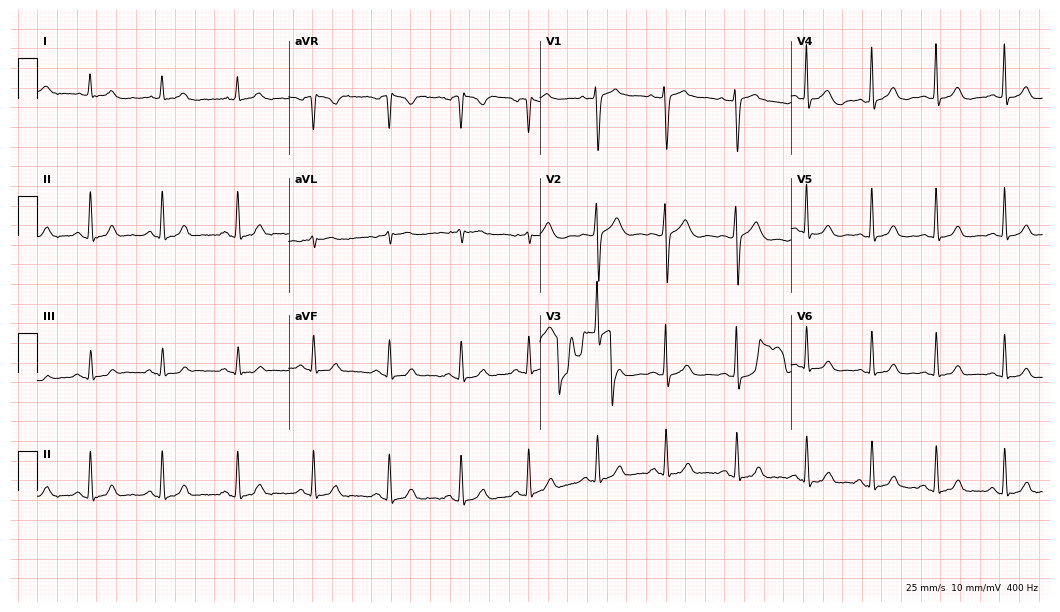
Resting 12-lead electrocardiogram (10.2-second recording at 400 Hz). Patient: a 33-year-old female. Read as a normal ECG.